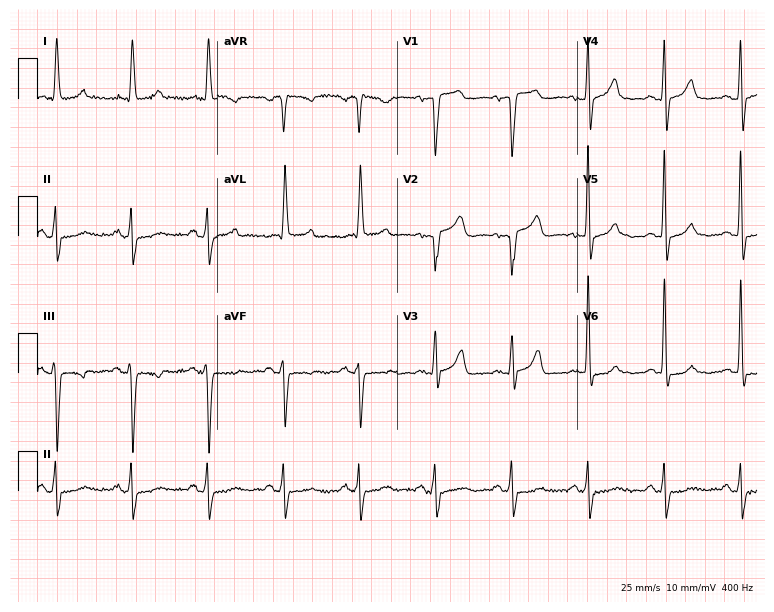
Standard 12-lead ECG recorded from a female, 82 years old. None of these six findings is recorded: first-degree AV block, right bundle branch block (RBBB), left bundle branch block (LBBB), sinus bradycardia, atrial fibrillation (AF), sinus tachycardia. Findings outside these six are not listed.